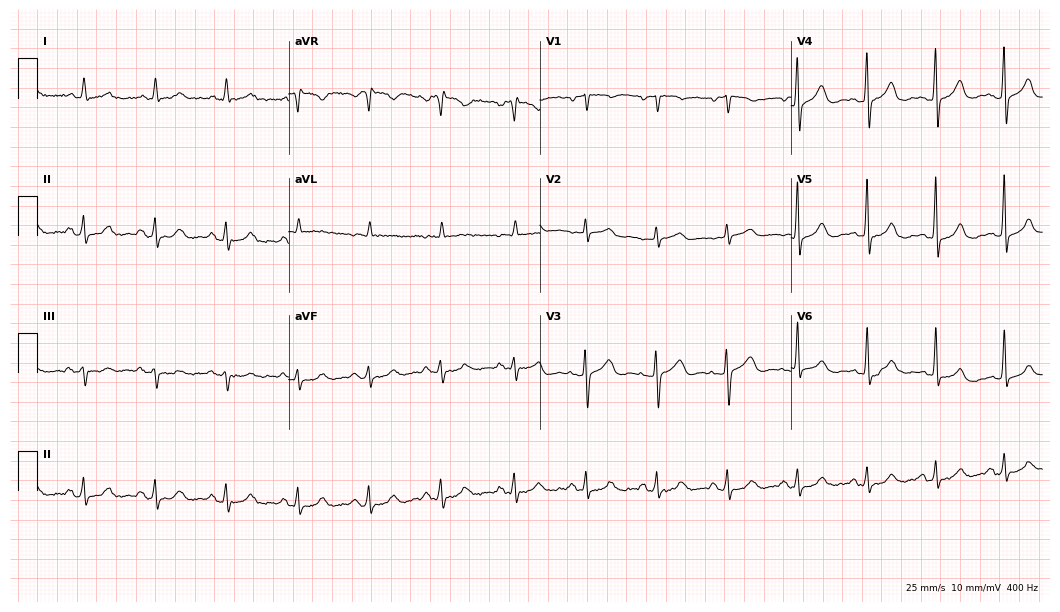
12-lead ECG from a woman, 84 years old. Labelled as a normal ECG.